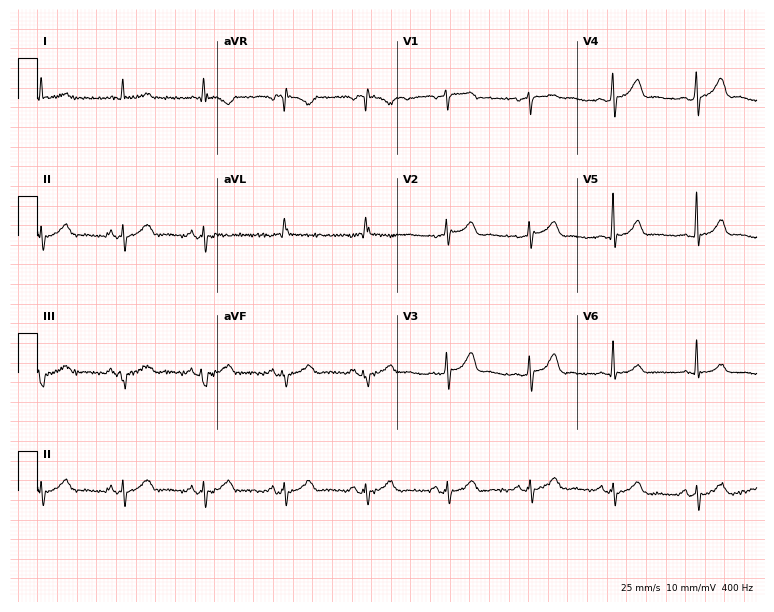
Resting 12-lead electrocardiogram (7.3-second recording at 400 Hz). Patient: a 62-year-old man. Read as a normal ECG.